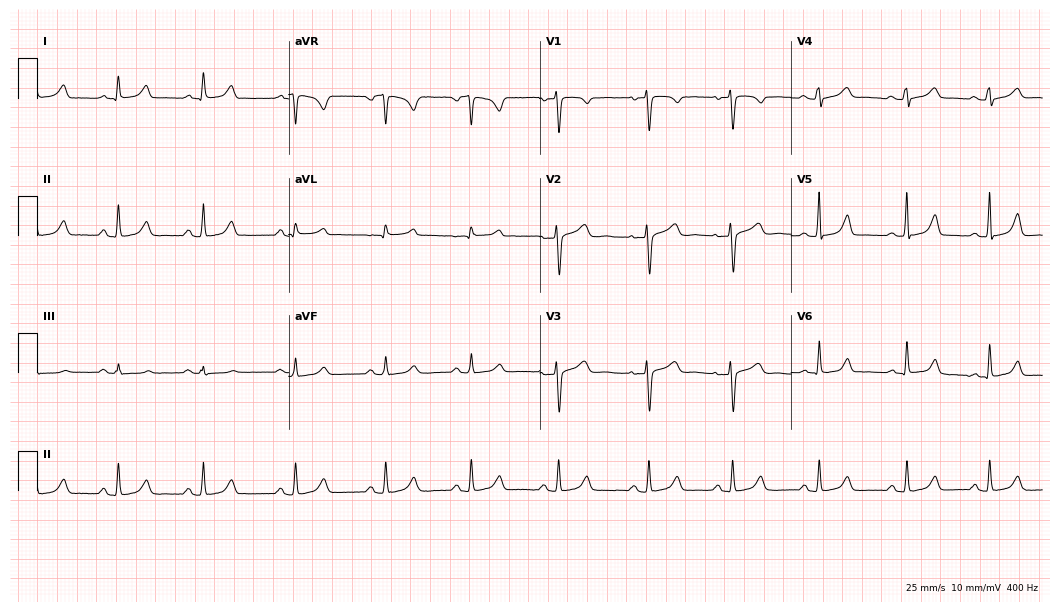
12-lead ECG from a female patient, 29 years old (10.2-second recording at 400 Hz). Recorded interpretation: within normal limits.